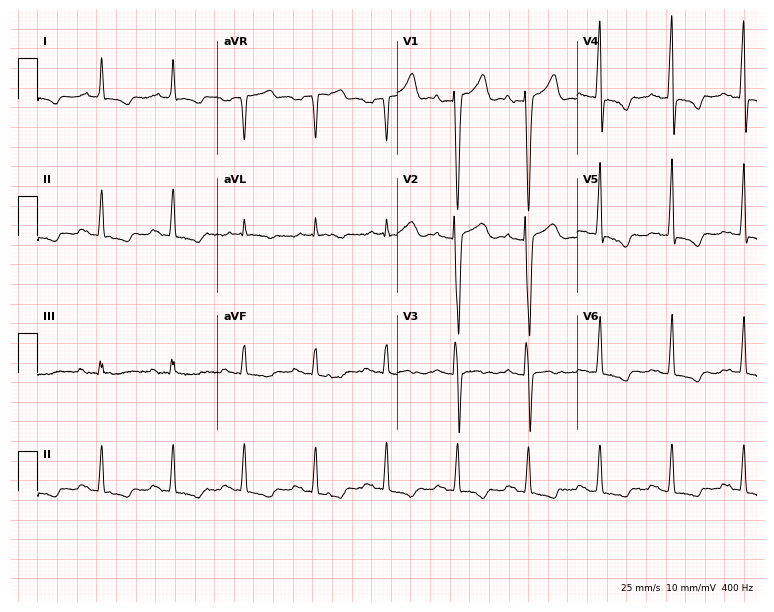
12-lead ECG from a man, 65 years old. Screened for six findings — first-degree AV block, right bundle branch block, left bundle branch block, sinus bradycardia, atrial fibrillation, sinus tachycardia — none is recorded. Findings outside these six are not listed.